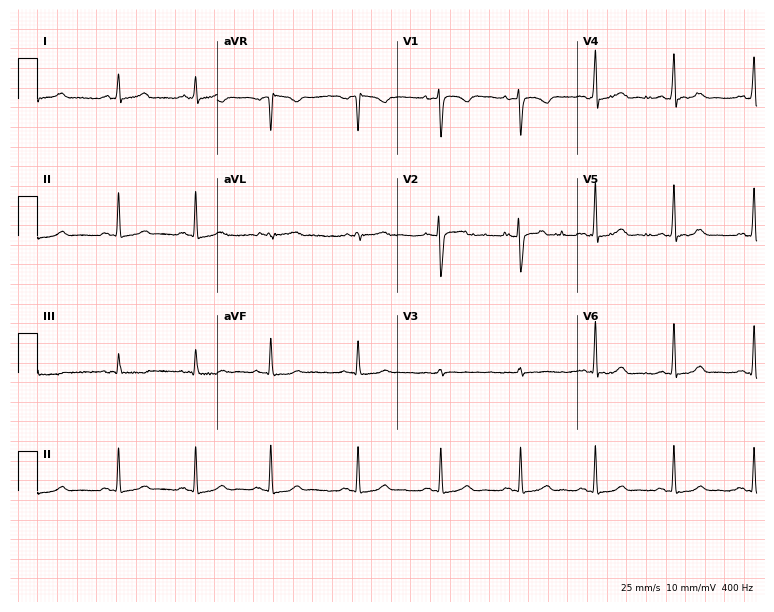
Standard 12-lead ECG recorded from a female, 28 years old (7.3-second recording at 400 Hz). None of these six findings is recorded: first-degree AV block, right bundle branch block, left bundle branch block, sinus bradycardia, atrial fibrillation, sinus tachycardia.